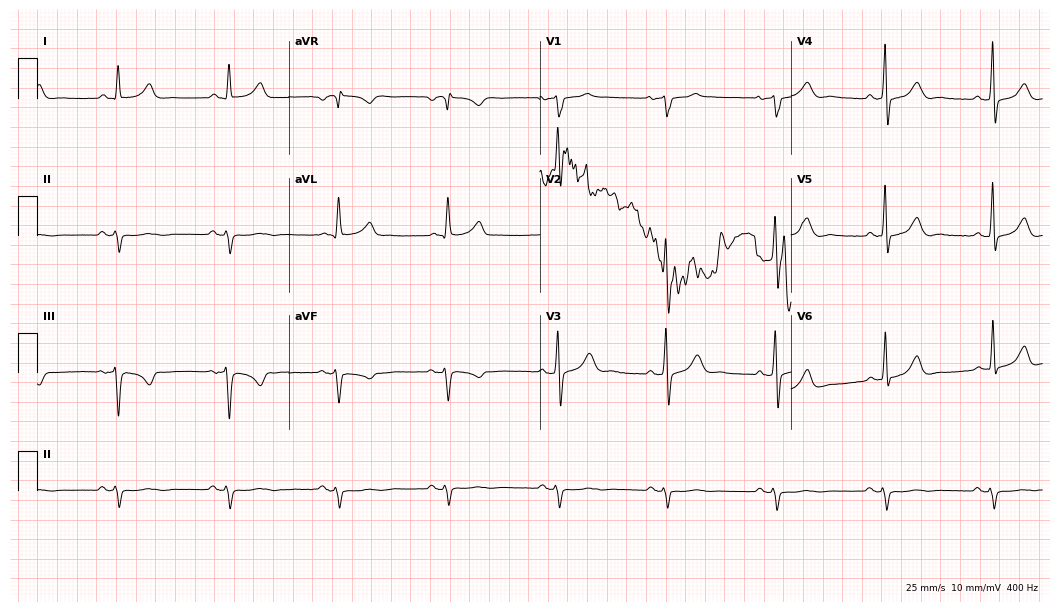
ECG (10.2-second recording at 400 Hz) — a 73-year-old male patient. Screened for six findings — first-degree AV block, right bundle branch block (RBBB), left bundle branch block (LBBB), sinus bradycardia, atrial fibrillation (AF), sinus tachycardia — none is recorded. Other findings, if any, are not listed.